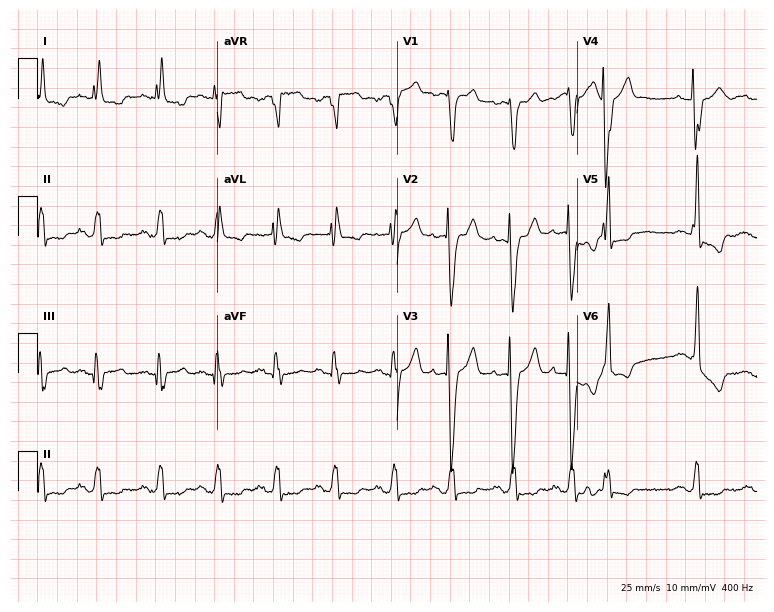
ECG — a female, 69 years old. Screened for six findings — first-degree AV block, right bundle branch block, left bundle branch block, sinus bradycardia, atrial fibrillation, sinus tachycardia — none is recorded.